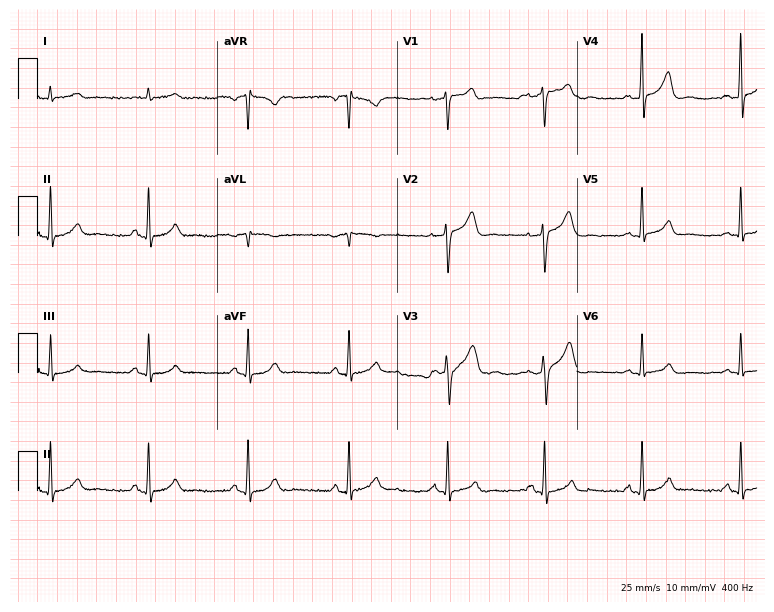
Standard 12-lead ECG recorded from a man, 72 years old. None of these six findings is recorded: first-degree AV block, right bundle branch block, left bundle branch block, sinus bradycardia, atrial fibrillation, sinus tachycardia.